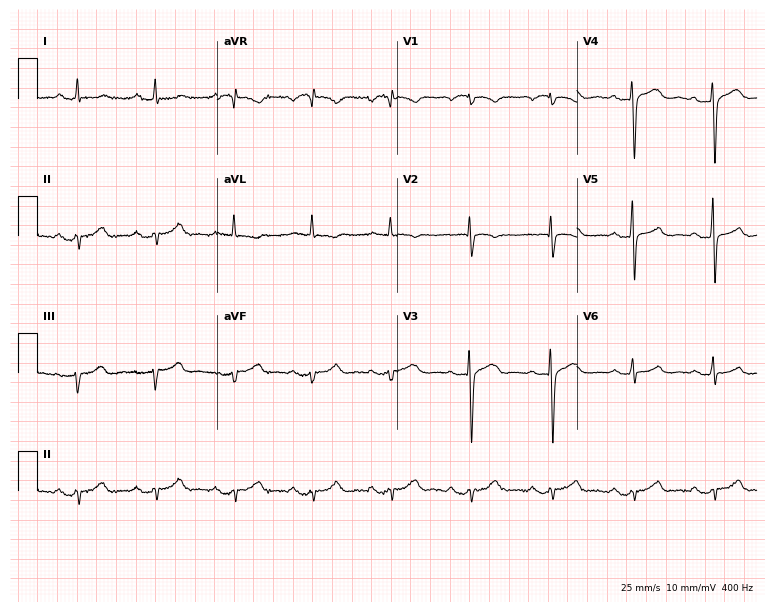
12-lead ECG from a man, 69 years old (7.3-second recording at 400 Hz). No first-degree AV block, right bundle branch block, left bundle branch block, sinus bradycardia, atrial fibrillation or sinus tachycardia recorded for this tracing. Other findings, if any, are not listed.